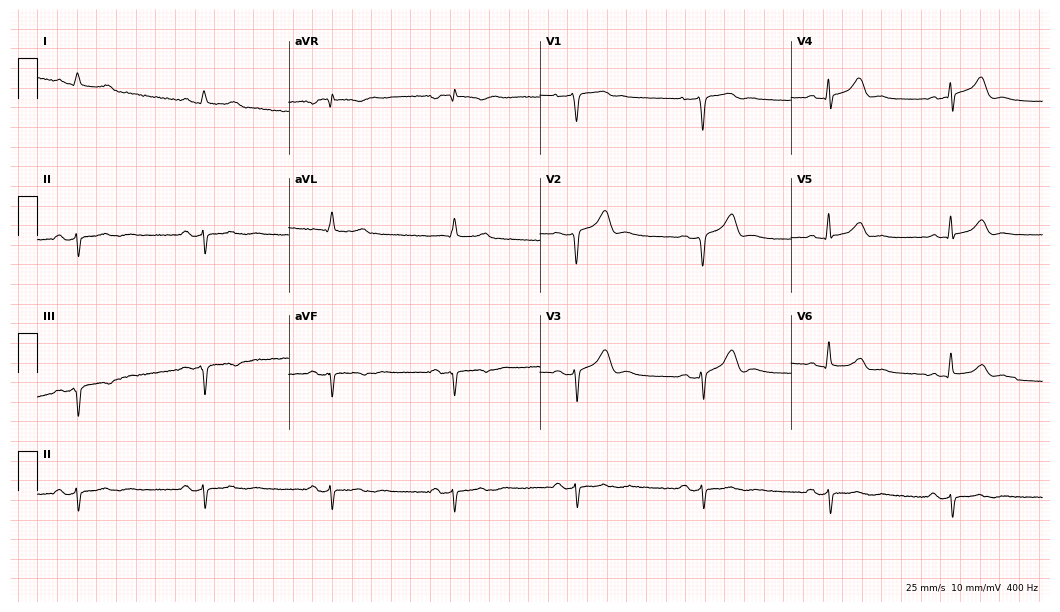
Electrocardiogram (10.2-second recording at 400 Hz), a male, 62 years old. Interpretation includes first-degree AV block.